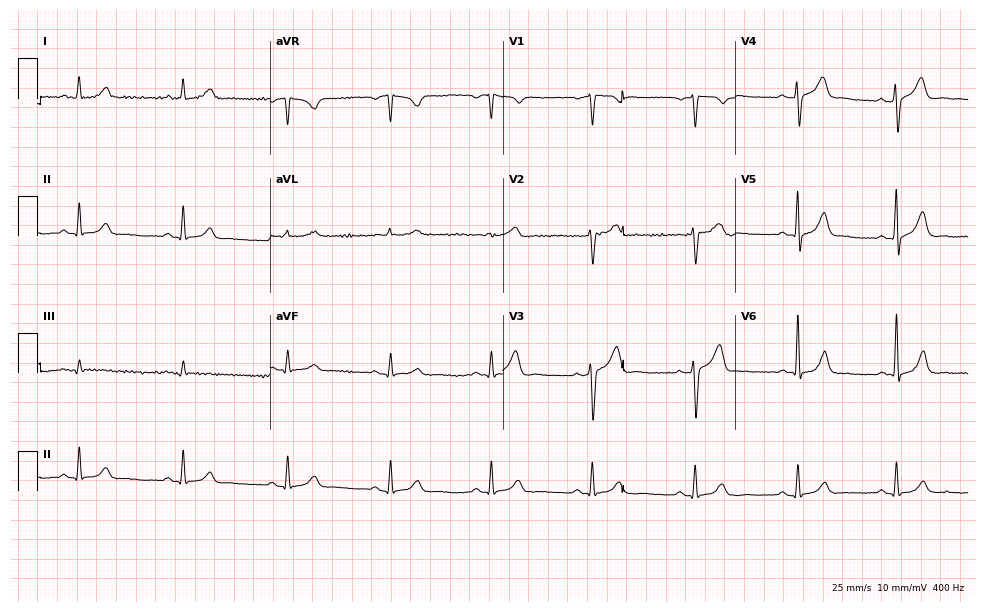
Resting 12-lead electrocardiogram. Patient: a 64-year-old male. Read as a normal ECG.